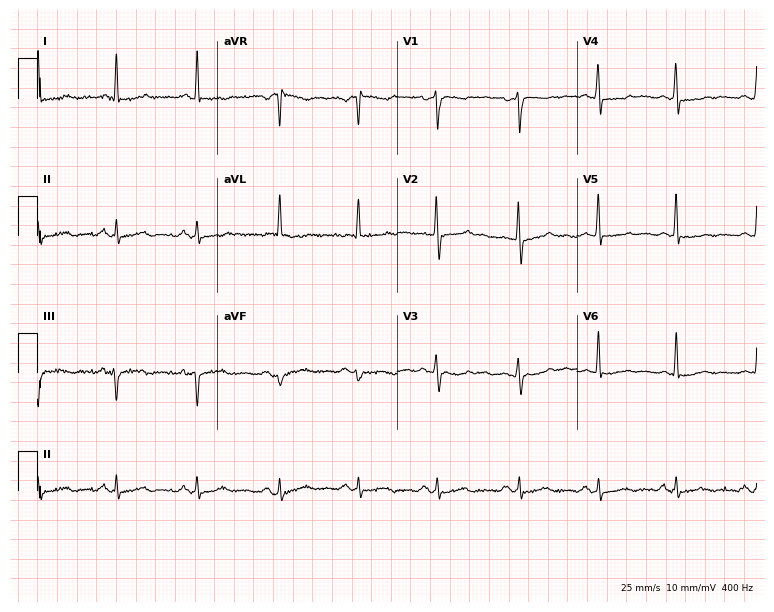
12-lead ECG from a female patient, 59 years old. Screened for six findings — first-degree AV block, right bundle branch block, left bundle branch block, sinus bradycardia, atrial fibrillation, sinus tachycardia — none is recorded.